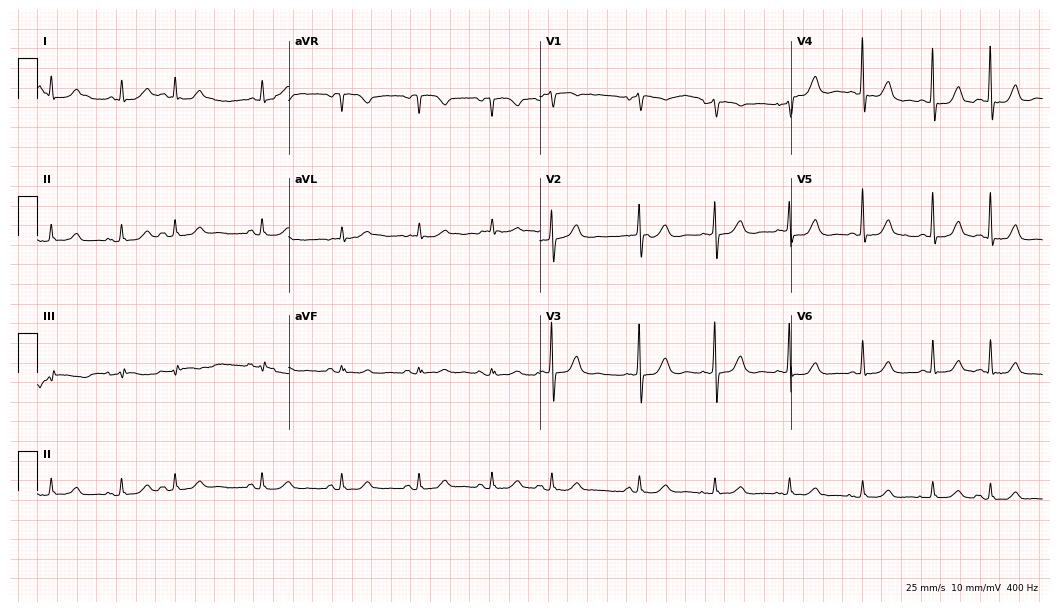
Resting 12-lead electrocardiogram. Patient: a female, 85 years old. None of these six findings is recorded: first-degree AV block, right bundle branch block, left bundle branch block, sinus bradycardia, atrial fibrillation, sinus tachycardia.